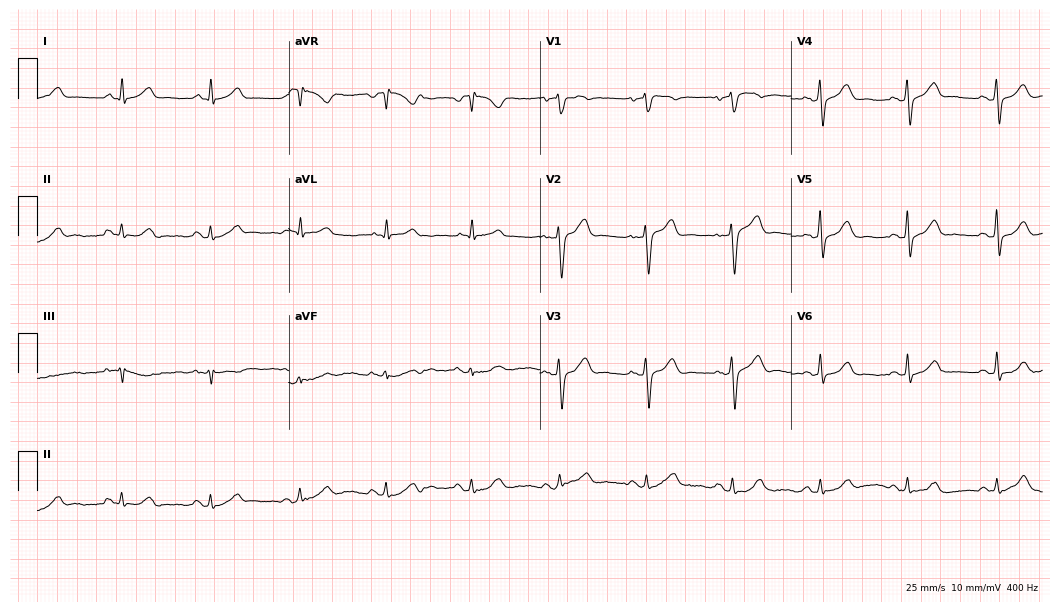
12-lead ECG (10.2-second recording at 400 Hz) from a 46-year-old man. Labelled as a normal ECG.